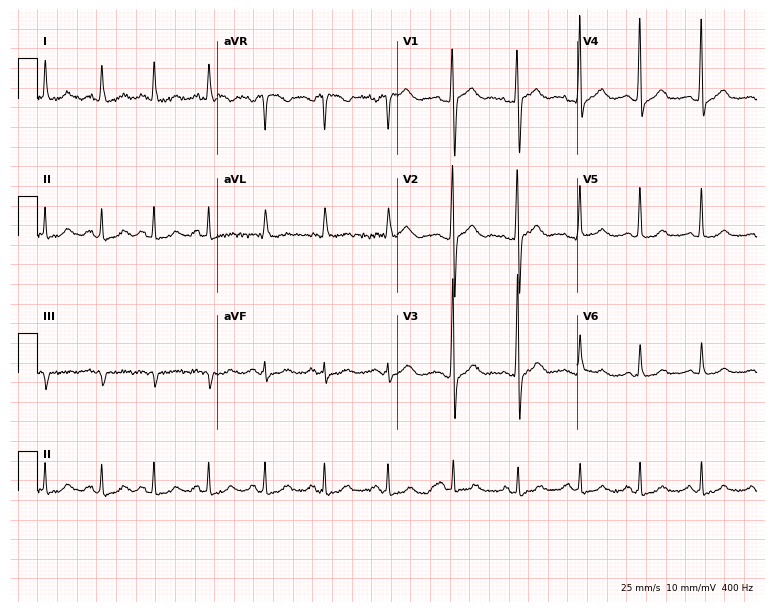
Standard 12-lead ECG recorded from a 39-year-old male (7.3-second recording at 400 Hz). The tracing shows sinus tachycardia (a sinus rate of 100 beats per minute or more).